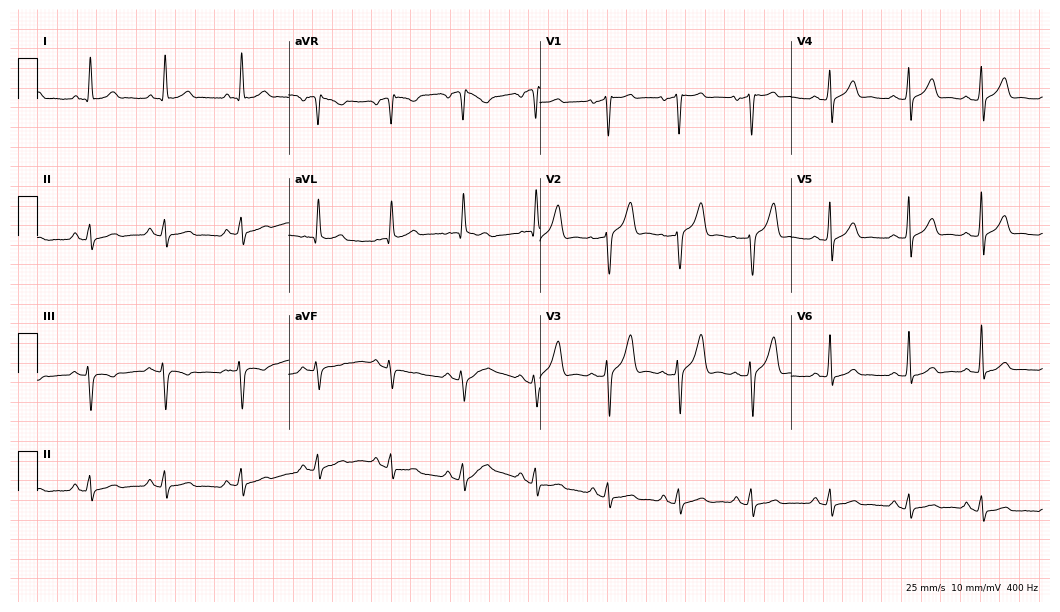
Standard 12-lead ECG recorded from a man, 39 years old. Read as a normal ECG.